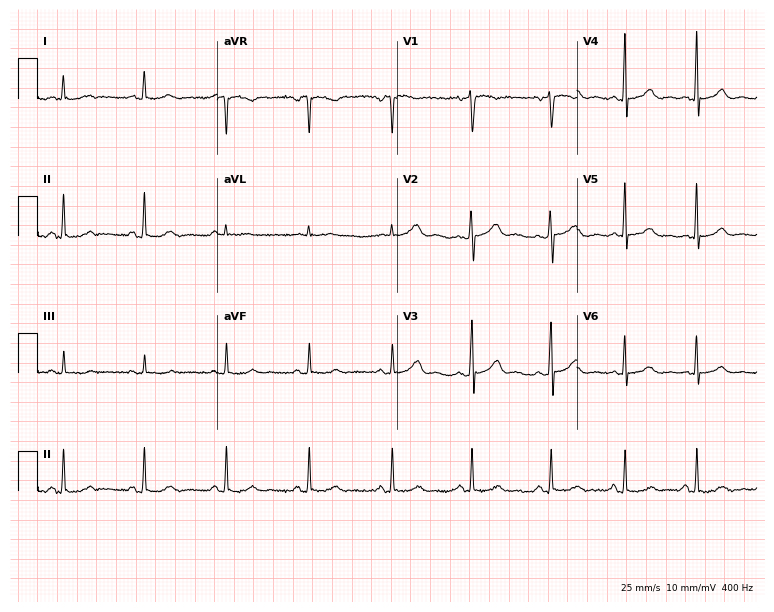
12-lead ECG from a 38-year-old female. Labelled as a normal ECG.